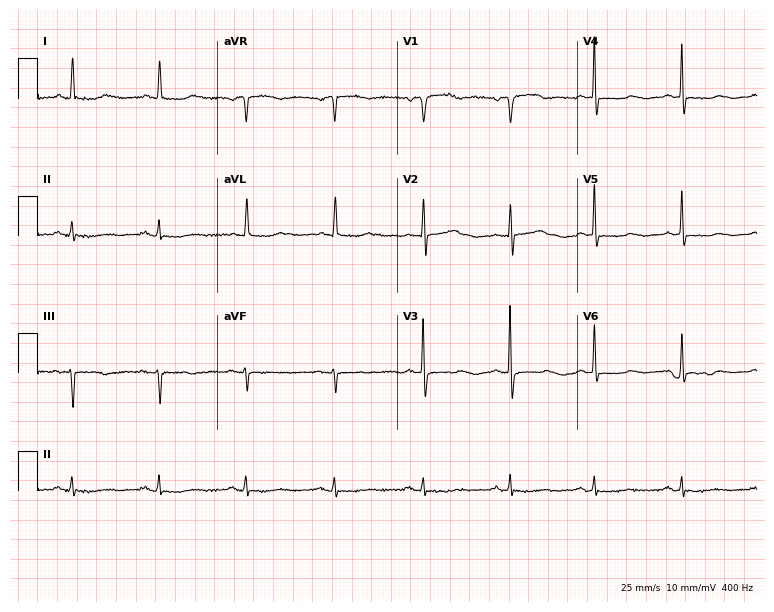
ECG — an 81-year-old female. Labelled as a normal ECG.